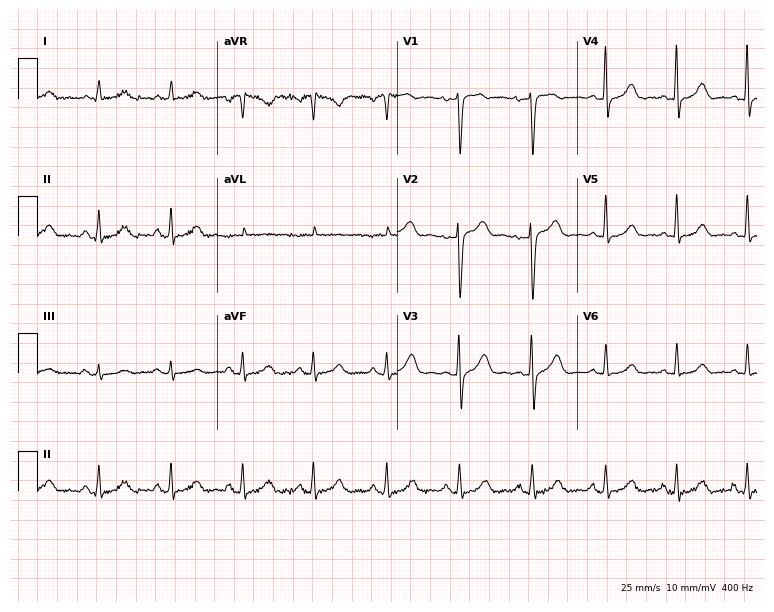
12-lead ECG from a woman, 54 years old. No first-degree AV block, right bundle branch block (RBBB), left bundle branch block (LBBB), sinus bradycardia, atrial fibrillation (AF) or sinus tachycardia recorded for this tracing. Other findings, if any, are not listed.